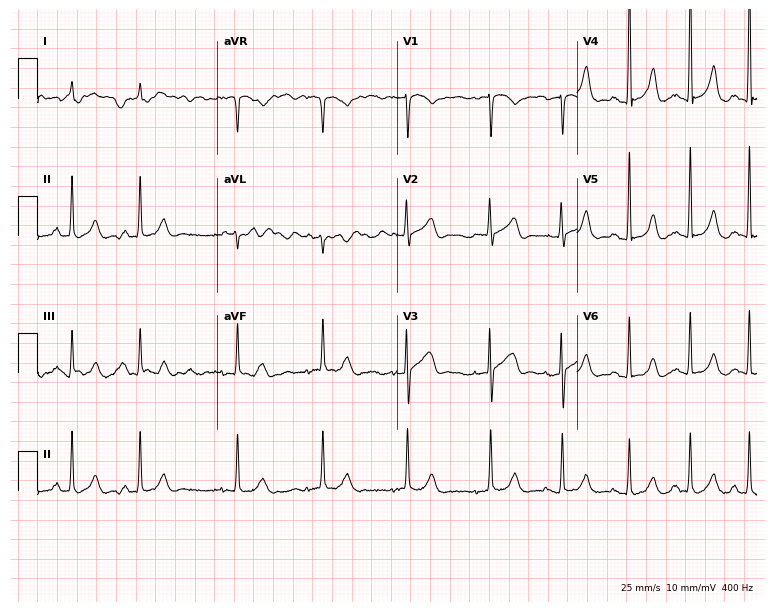
12-lead ECG (7.3-second recording at 400 Hz) from a 43-year-old male. Labelled as a normal ECG.